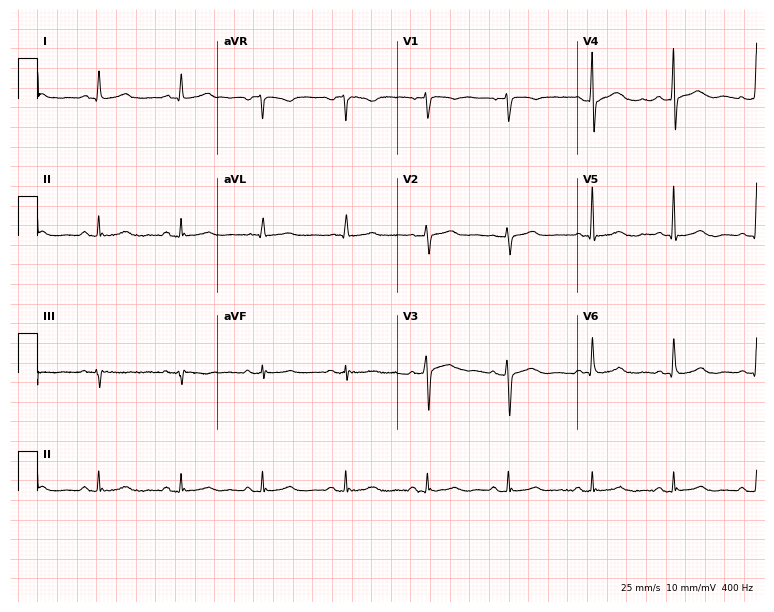
12-lead ECG from a woman, 53 years old (7.3-second recording at 400 Hz). No first-degree AV block, right bundle branch block, left bundle branch block, sinus bradycardia, atrial fibrillation or sinus tachycardia recorded for this tracing. Other findings, if any, are not listed.